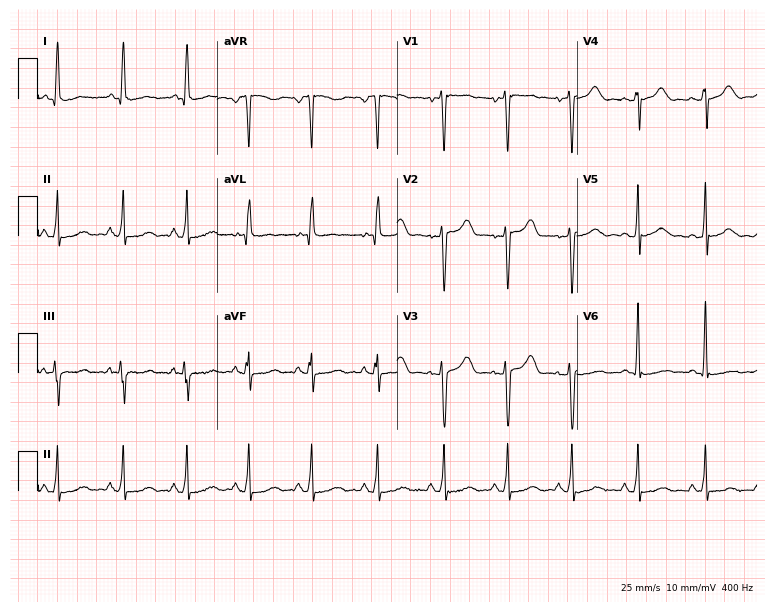
Standard 12-lead ECG recorded from a 43-year-old female patient (7.3-second recording at 400 Hz). None of these six findings is recorded: first-degree AV block, right bundle branch block (RBBB), left bundle branch block (LBBB), sinus bradycardia, atrial fibrillation (AF), sinus tachycardia.